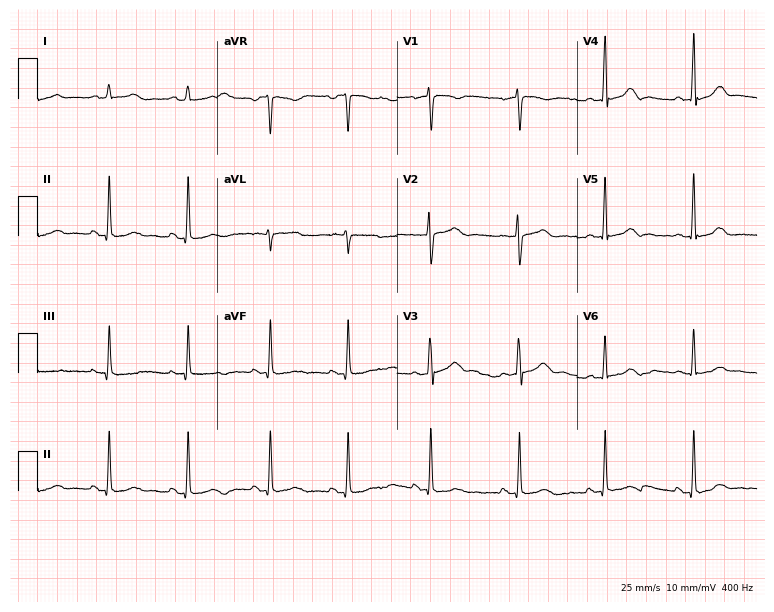
12-lead ECG from a 32-year-old woman. Labelled as a normal ECG.